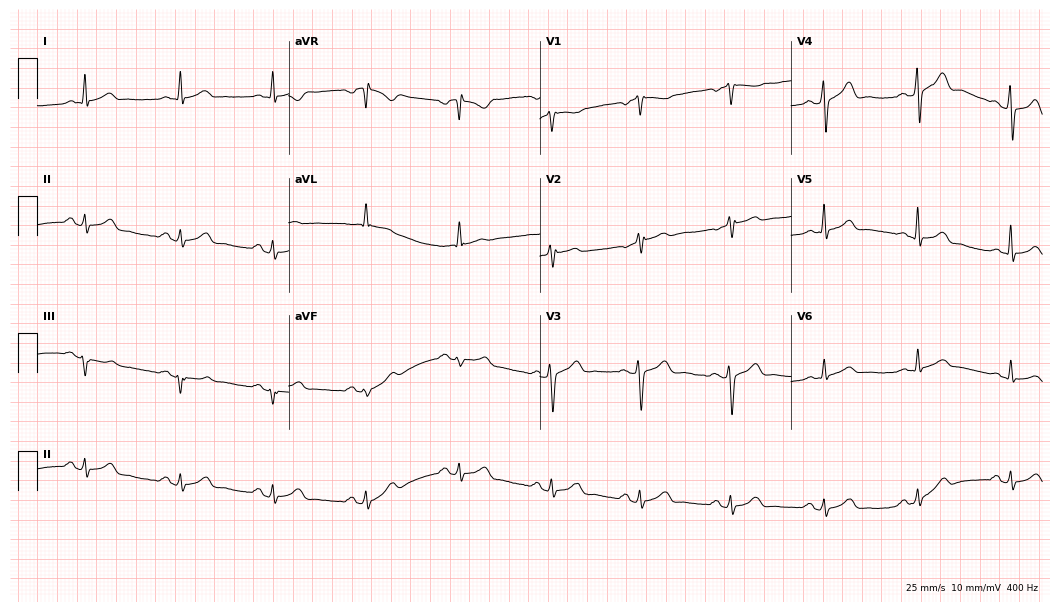
Standard 12-lead ECG recorded from a male patient, 63 years old (10.2-second recording at 400 Hz). Read as a normal ECG.